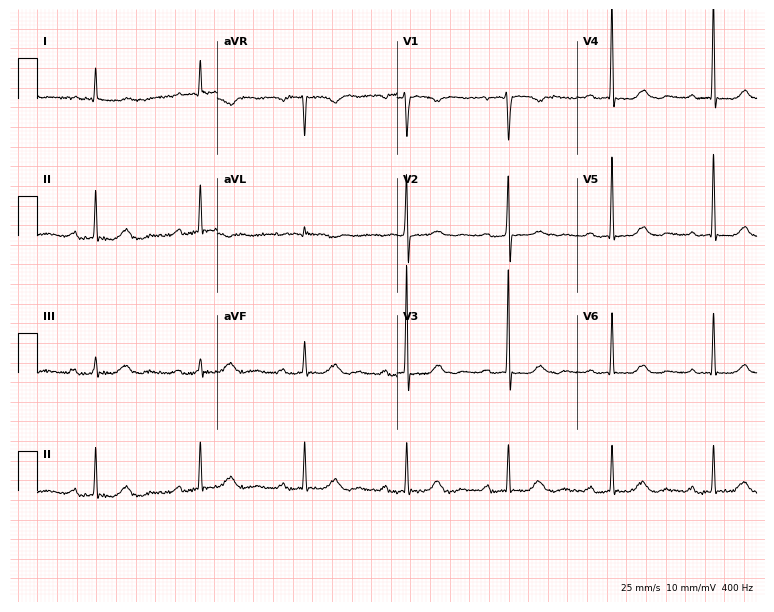
12-lead ECG (7.3-second recording at 400 Hz) from a 64-year-old female patient. Findings include first-degree AV block.